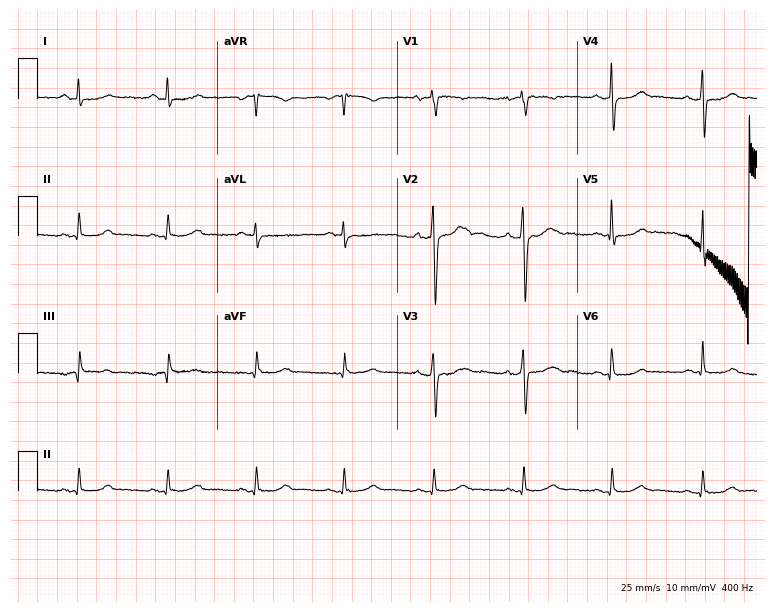
Resting 12-lead electrocardiogram (7.3-second recording at 400 Hz). Patient: a 55-year-old female. Read as a normal ECG.